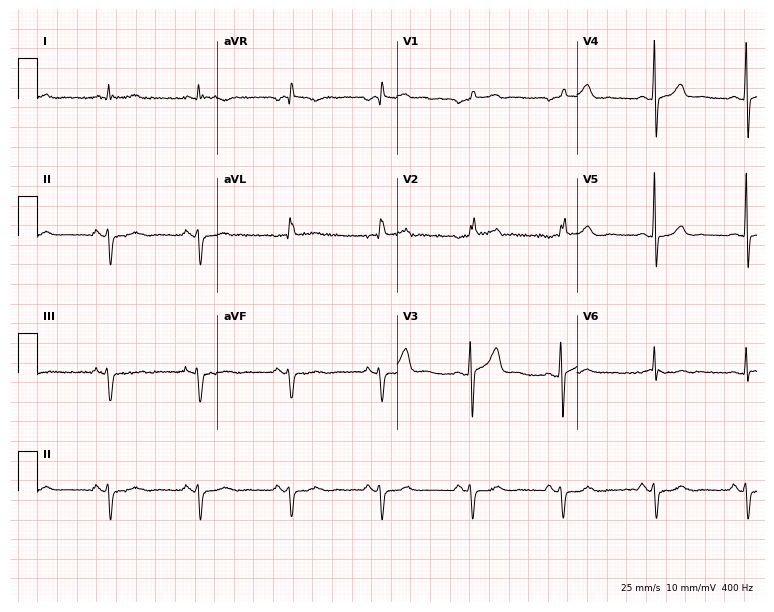
Electrocardiogram (7.3-second recording at 400 Hz), a male patient, 72 years old. Of the six screened findings (first-degree AV block, right bundle branch block (RBBB), left bundle branch block (LBBB), sinus bradycardia, atrial fibrillation (AF), sinus tachycardia), none is recorded.